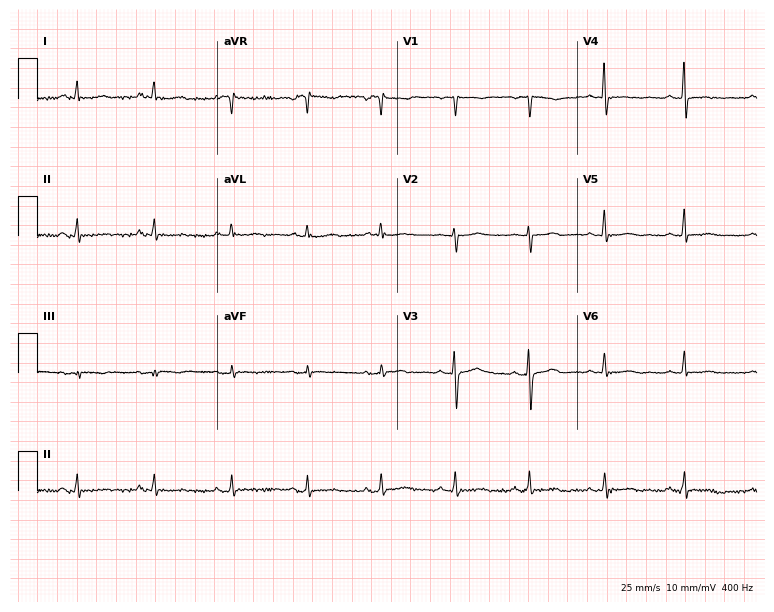
Standard 12-lead ECG recorded from a female patient, 52 years old. None of these six findings is recorded: first-degree AV block, right bundle branch block (RBBB), left bundle branch block (LBBB), sinus bradycardia, atrial fibrillation (AF), sinus tachycardia. Only these six findings were labelled.